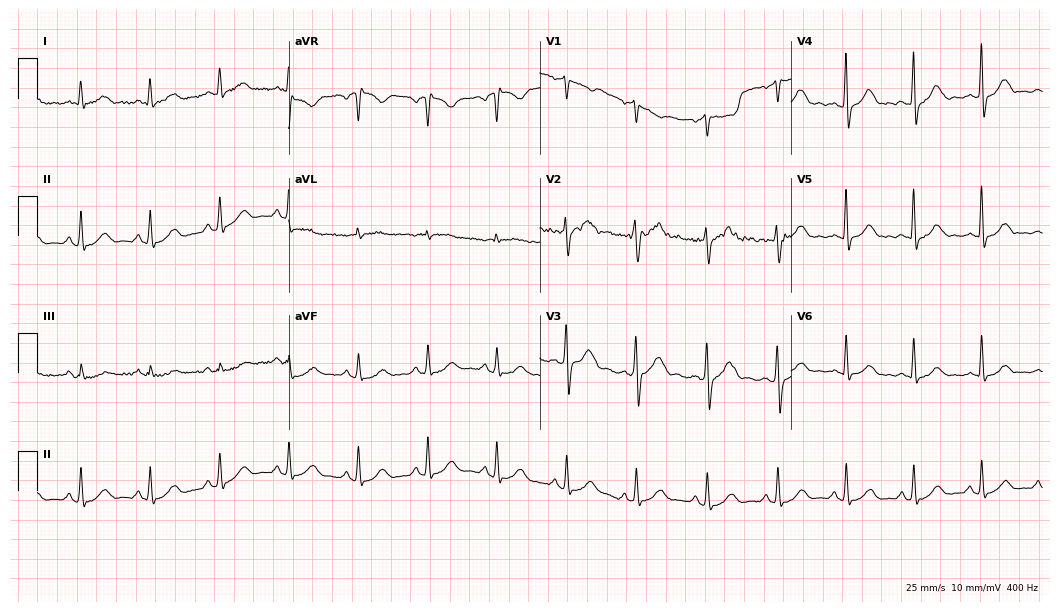
12-lead ECG (10.2-second recording at 400 Hz) from a male patient, 49 years old. Labelled as a normal ECG.